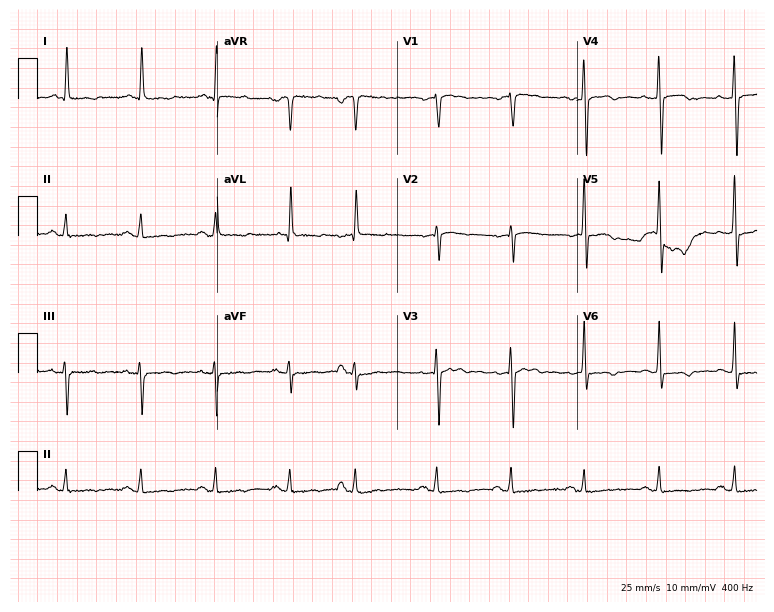
ECG (7.3-second recording at 400 Hz) — a woman, 67 years old. Screened for six findings — first-degree AV block, right bundle branch block, left bundle branch block, sinus bradycardia, atrial fibrillation, sinus tachycardia — none is recorded. Findings outside these six are not listed.